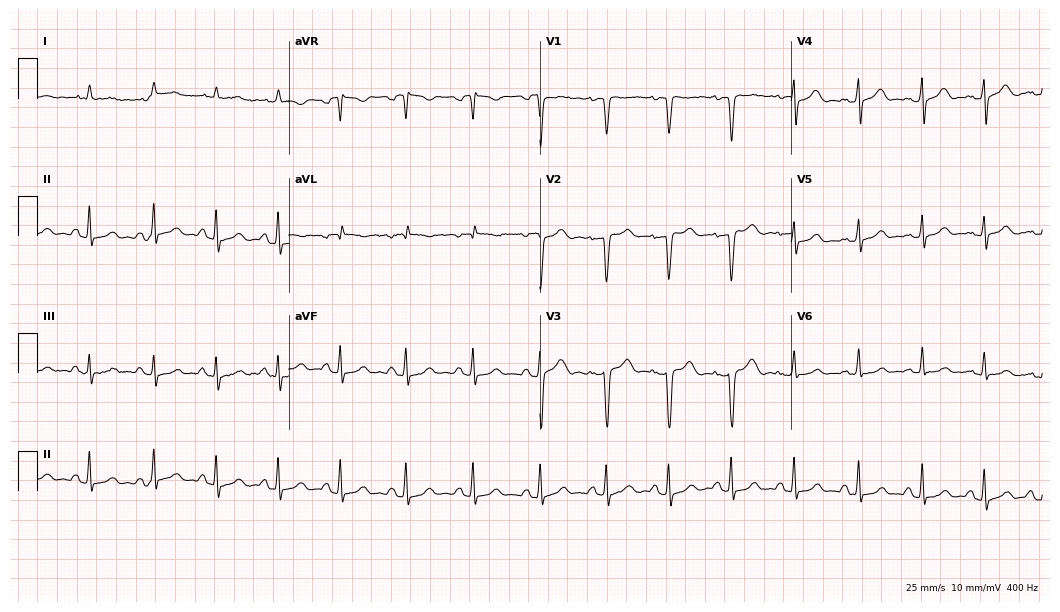
Standard 12-lead ECG recorded from a female, 38 years old (10.2-second recording at 400 Hz). None of these six findings is recorded: first-degree AV block, right bundle branch block, left bundle branch block, sinus bradycardia, atrial fibrillation, sinus tachycardia. Findings outside these six are not listed.